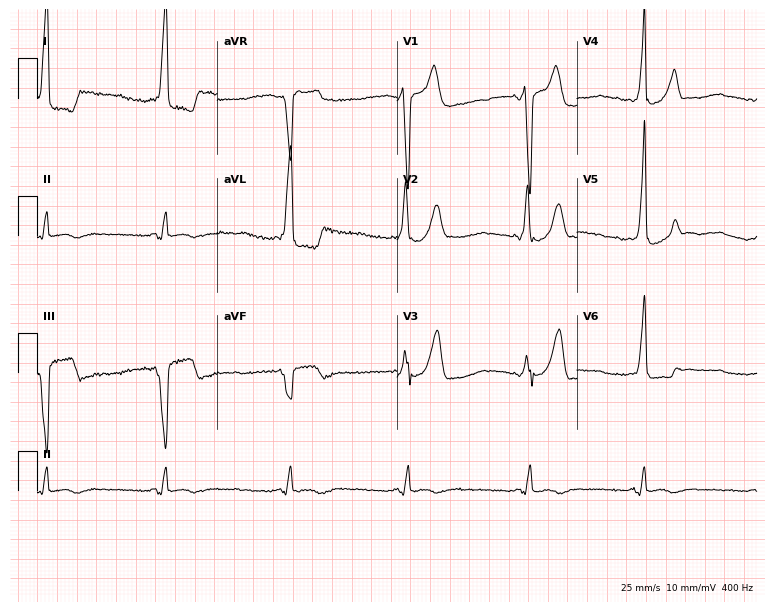
Resting 12-lead electrocardiogram. Patient: a man, 32 years old. The tracing shows left bundle branch block (LBBB).